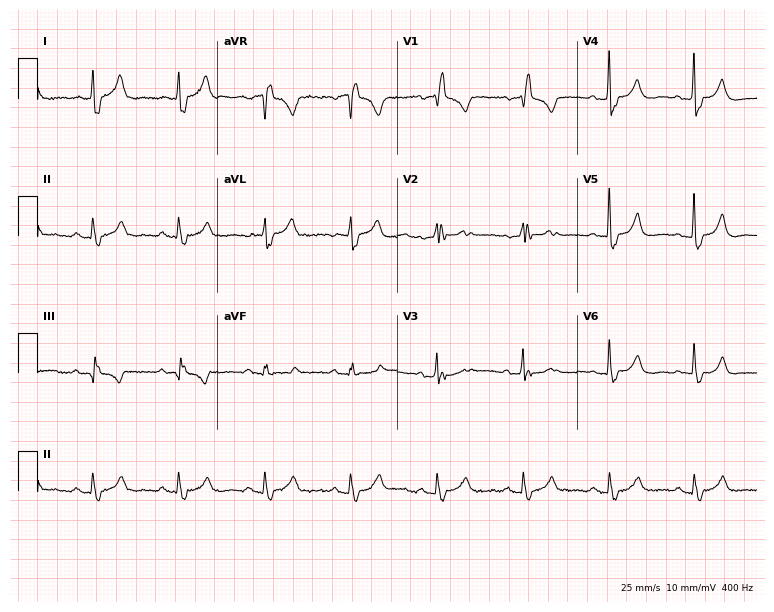
12-lead ECG (7.3-second recording at 400 Hz) from a 78-year-old female. Findings include right bundle branch block.